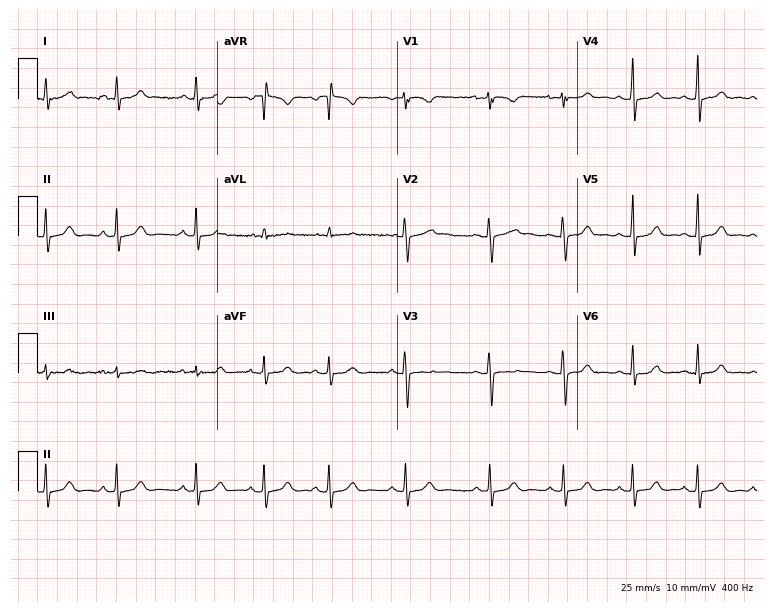
Electrocardiogram (7.3-second recording at 400 Hz), a woman, 19 years old. Overall reading on record: normal ECG.